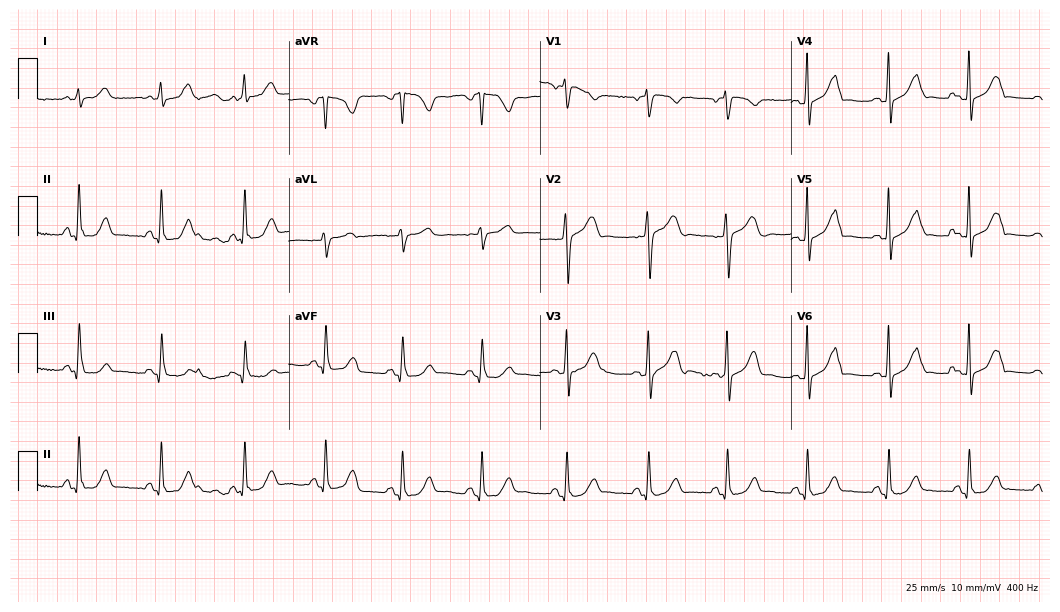
ECG (10.2-second recording at 400 Hz) — a female, 49 years old. Labelled as a normal ECG.